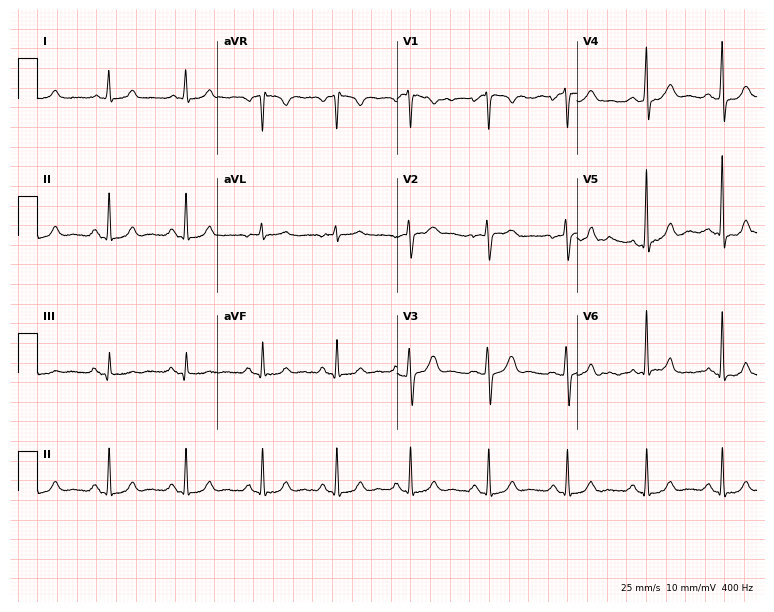
12-lead ECG from a female patient, 53 years old (7.3-second recording at 400 Hz). No first-degree AV block, right bundle branch block (RBBB), left bundle branch block (LBBB), sinus bradycardia, atrial fibrillation (AF) or sinus tachycardia recorded for this tracing. Findings outside these six are not listed.